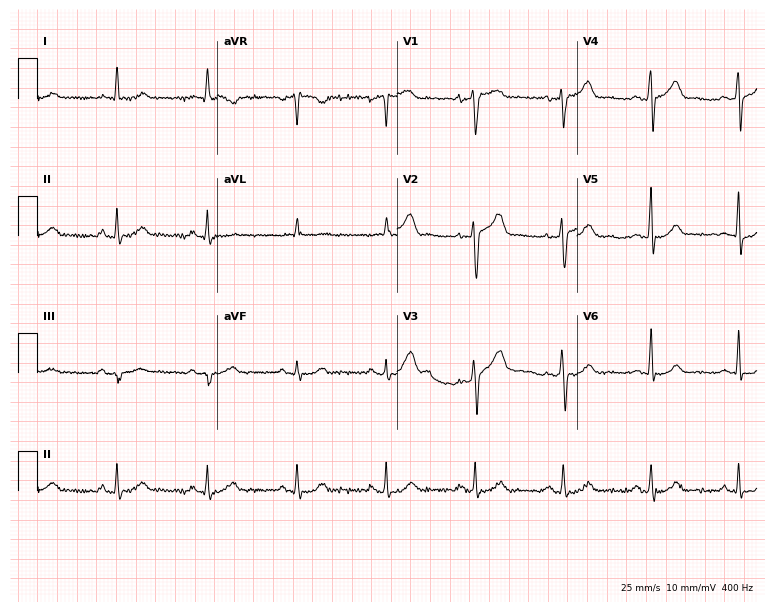
Electrocardiogram, a 67-year-old man. Overall reading on record: normal ECG.